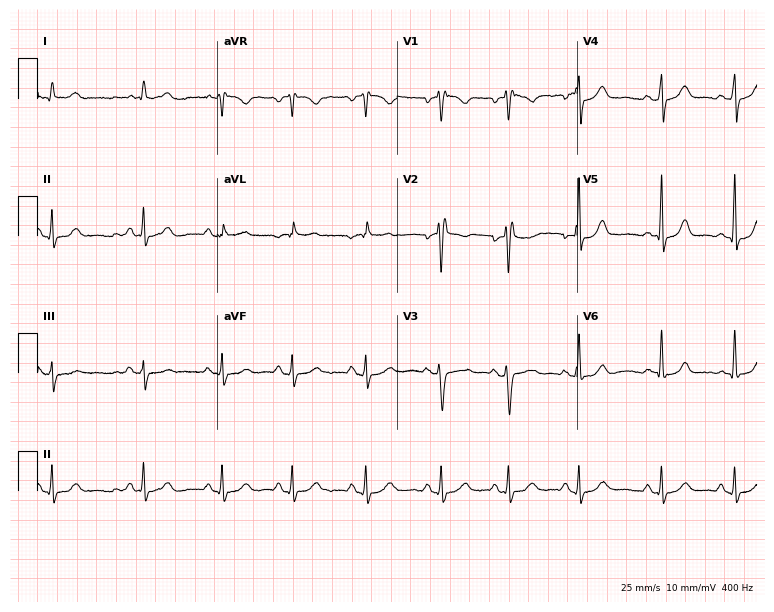
ECG — a 32-year-old woman. Labelled as a normal ECG.